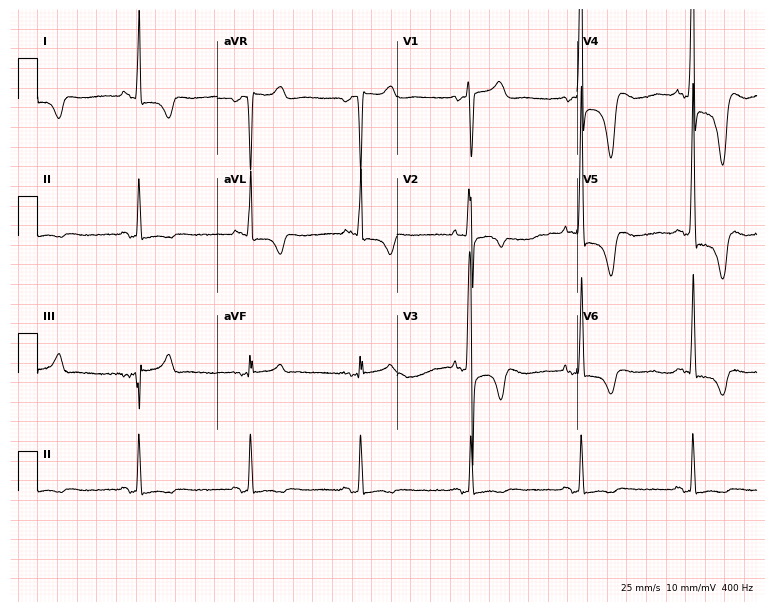
12-lead ECG from a man, 67 years old. No first-degree AV block, right bundle branch block (RBBB), left bundle branch block (LBBB), sinus bradycardia, atrial fibrillation (AF) or sinus tachycardia recorded for this tracing.